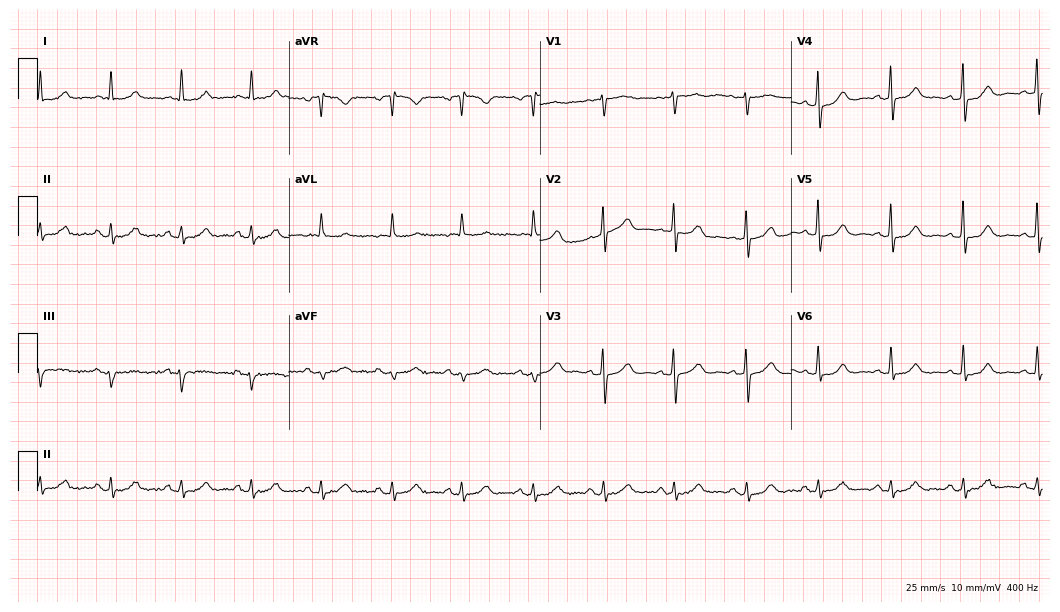
Electrocardiogram, a 64-year-old female patient. Overall reading on record: normal ECG.